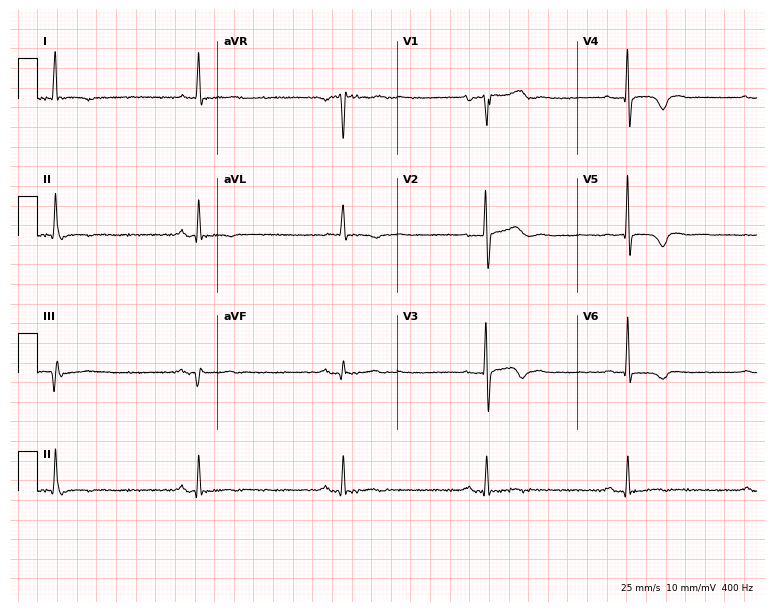
Resting 12-lead electrocardiogram. Patient: a male, 74 years old. None of these six findings is recorded: first-degree AV block, right bundle branch block, left bundle branch block, sinus bradycardia, atrial fibrillation, sinus tachycardia.